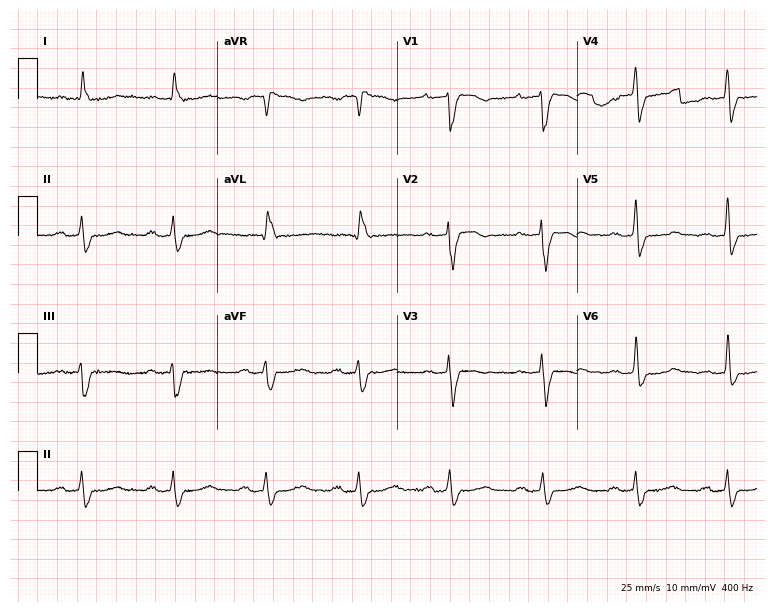
ECG — a female patient, 80 years old. Findings include first-degree AV block, left bundle branch block.